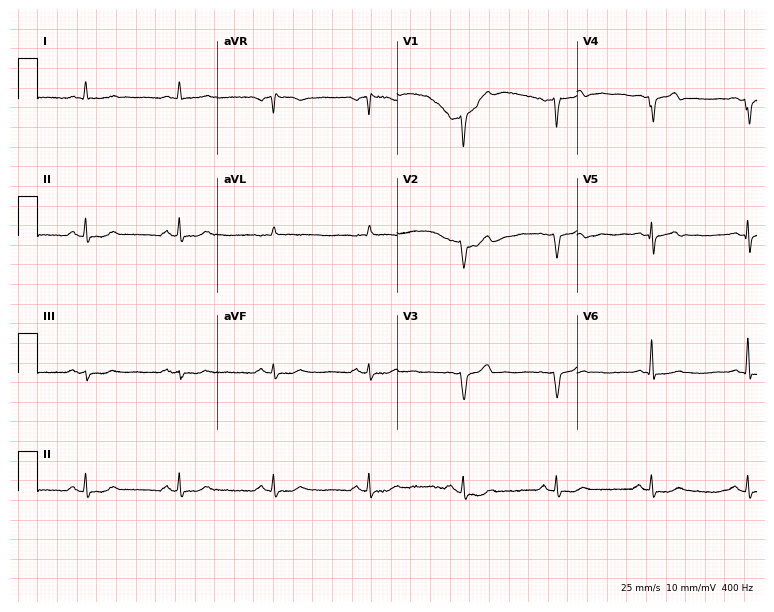
Electrocardiogram, a 61-year-old man. Of the six screened findings (first-degree AV block, right bundle branch block, left bundle branch block, sinus bradycardia, atrial fibrillation, sinus tachycardia), none is recorded. Other findings, if any, are not listed.